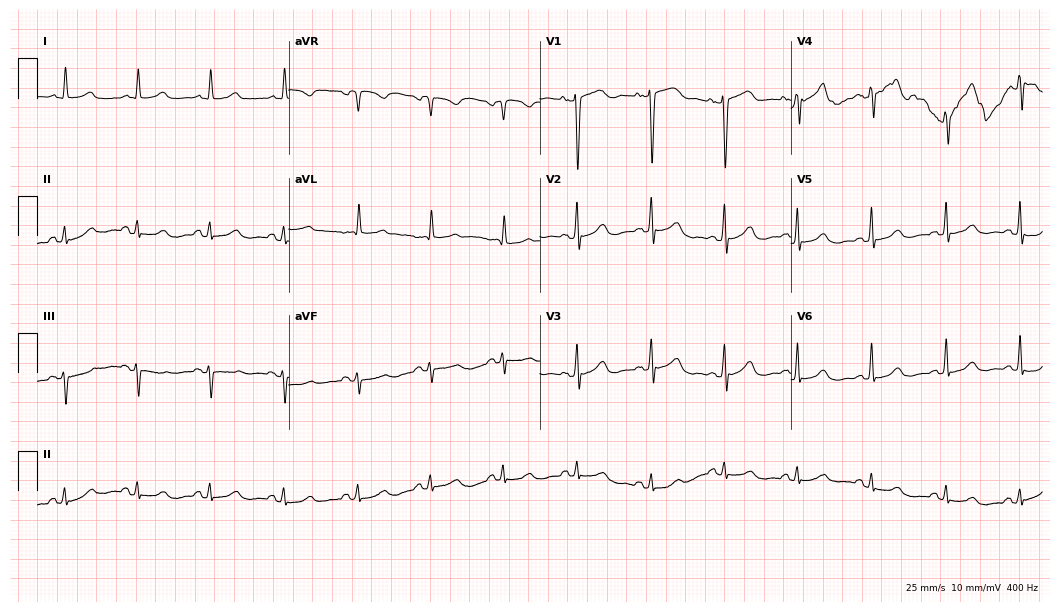
ECG — an 80-year-old female patient. Screened for six findings — first-degree AV block, right bundle branch block (RBBB), left bundle branch block (LBBB), sinus bradycardia, atrial fibrillation (AF), sinus tachycardia — none is recorded. Findings outside these six are not listed.